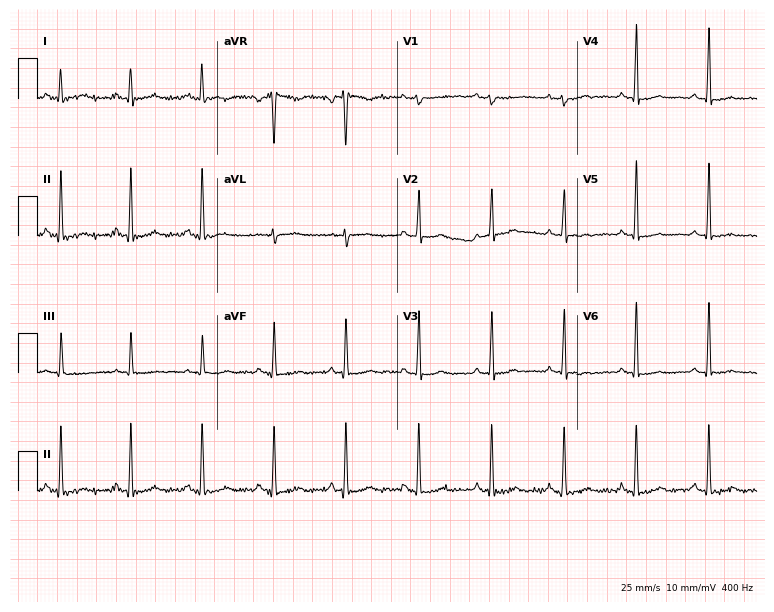
Standard 12-lead ECG recorded from a woman, 42 years old (7.3-second recording at 400 Hz). Read as a normal ECG.